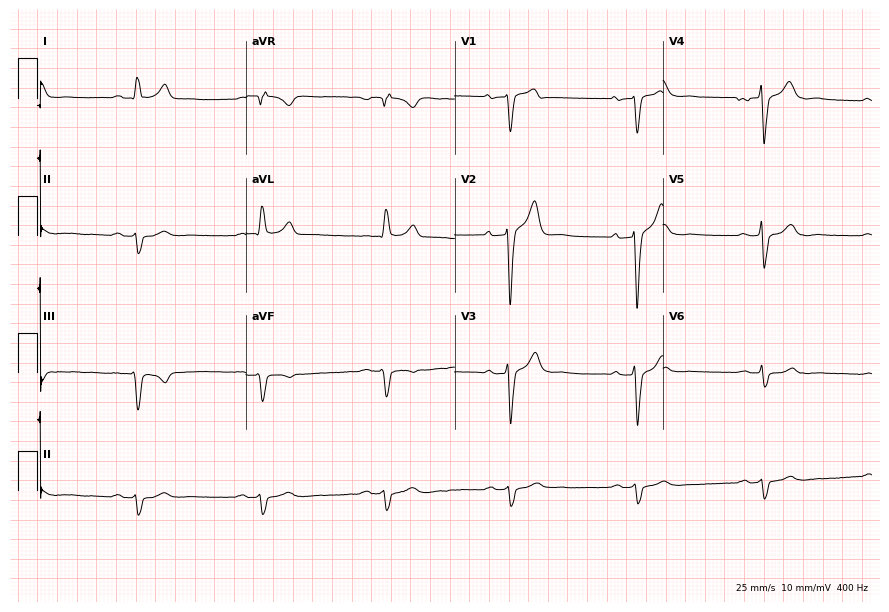
Electrocardiogram, a 78-year-old male. Interpretation includes first-degree AV block.